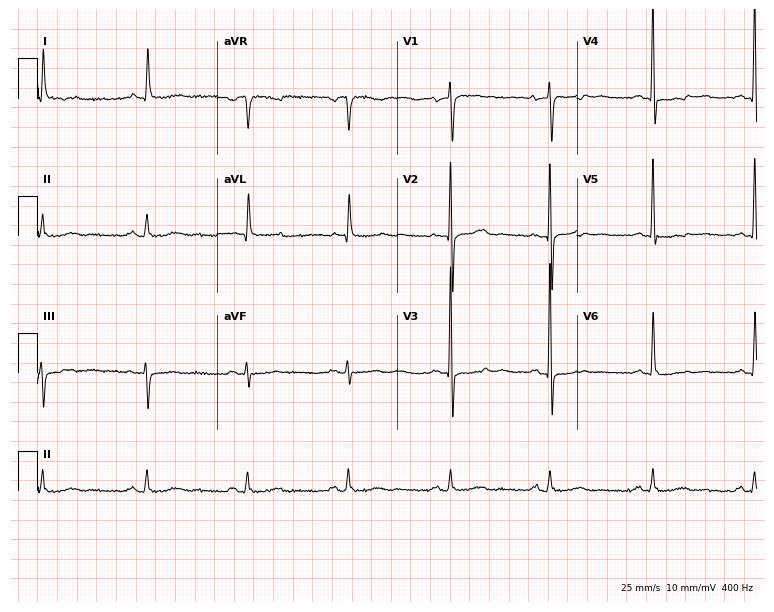
12-lead ECG (7.3-second recording at 400 Hz) from a 62-year-old female patient. Screened for six findings — first-degree AV block, right bundle branch block, left bundle branch block, sinus bradycardia, atrial fibrillation, sinus tachycardia — none is recorded.